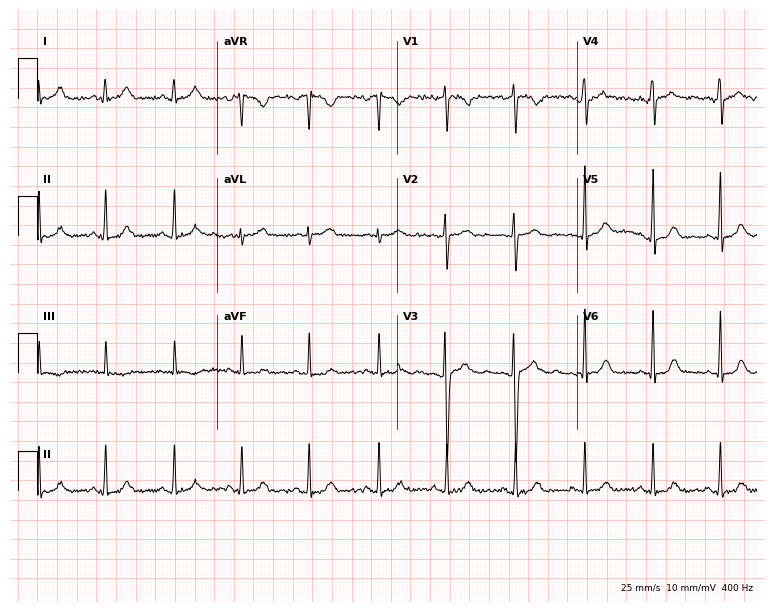
Electrocardiogram (7.3-second recording at 400 Hz), a 27-year-old female. Overall reading on record: normal ECG.